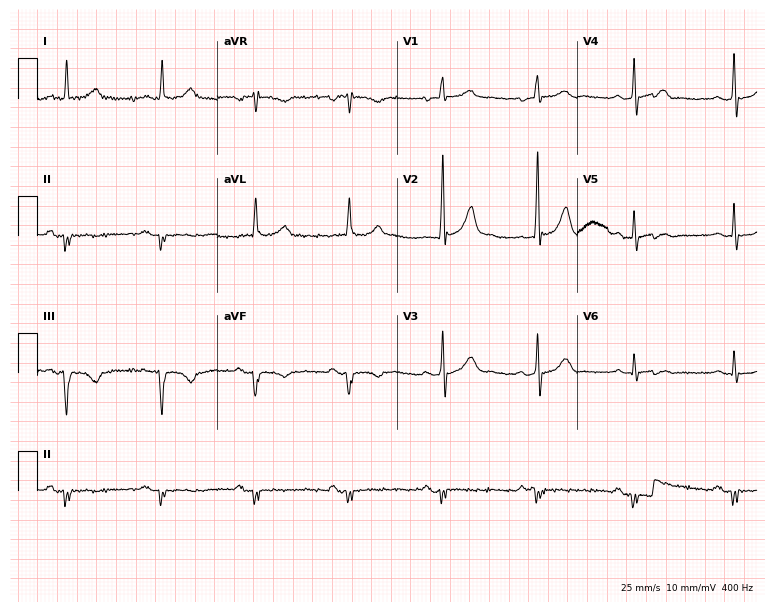
12-lead ECG from a 67-year-old man. Screened for six findings — first-degree AV block, right bundle branch block (RBBB), left bundle branch block (LBBB), sinus bradycardia, atrial fibrillation (AF), sinus tachycardia — none is recorded.